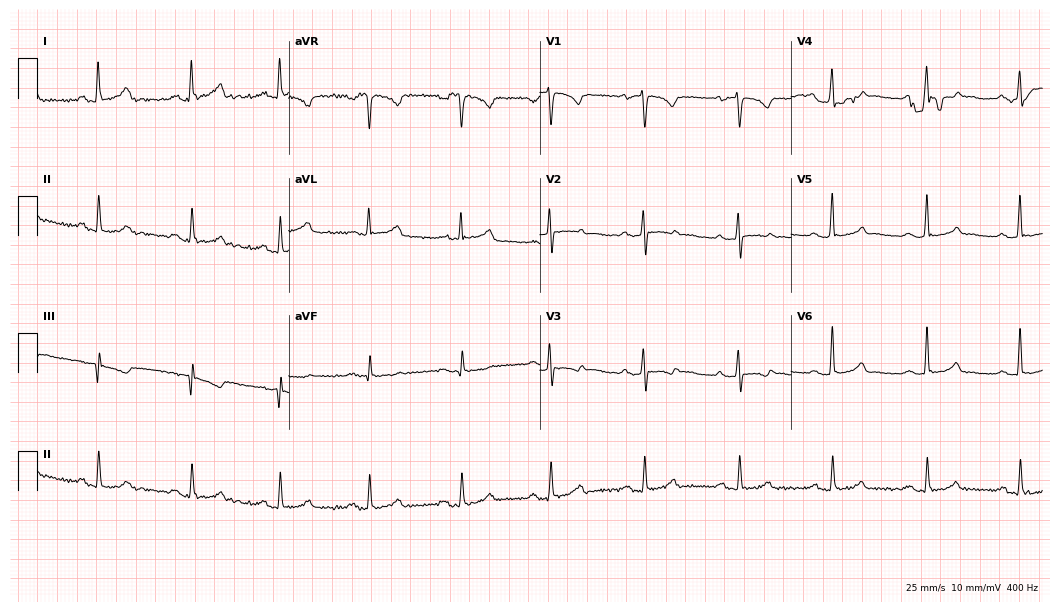
Resting 12-lead electrocardiogram. Patient: a 43-year-old woman. None of these six findings is recorded: first-degree AV block, right bundle branch block, left bundle branch block, sinus bradycardia, atrial fibrillation, sinus tachycardia.